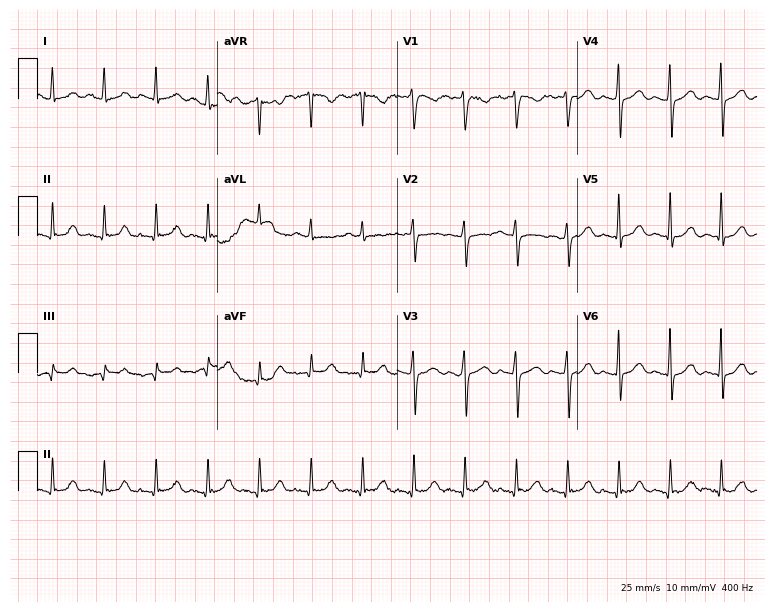
12-lead ECG from a 63-year-old female. Shows sinus tachycardia (a sinus rate of 100 beats per minute or more).